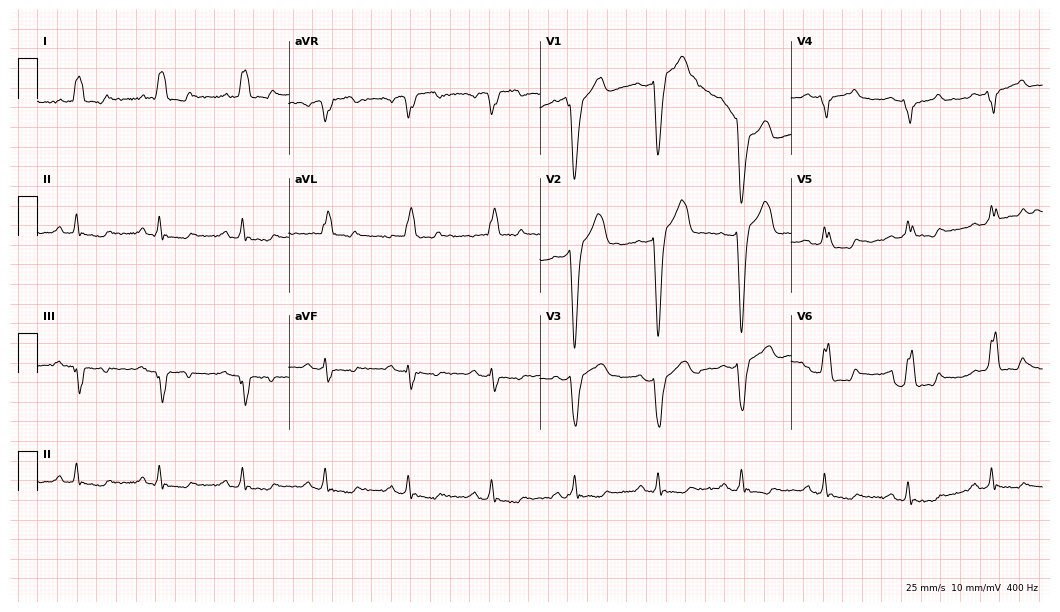
Electrocardiogram (10.2-second recording at 400 Hz), a 64-year-old male patient. Interpretation includes left bundle branch block.